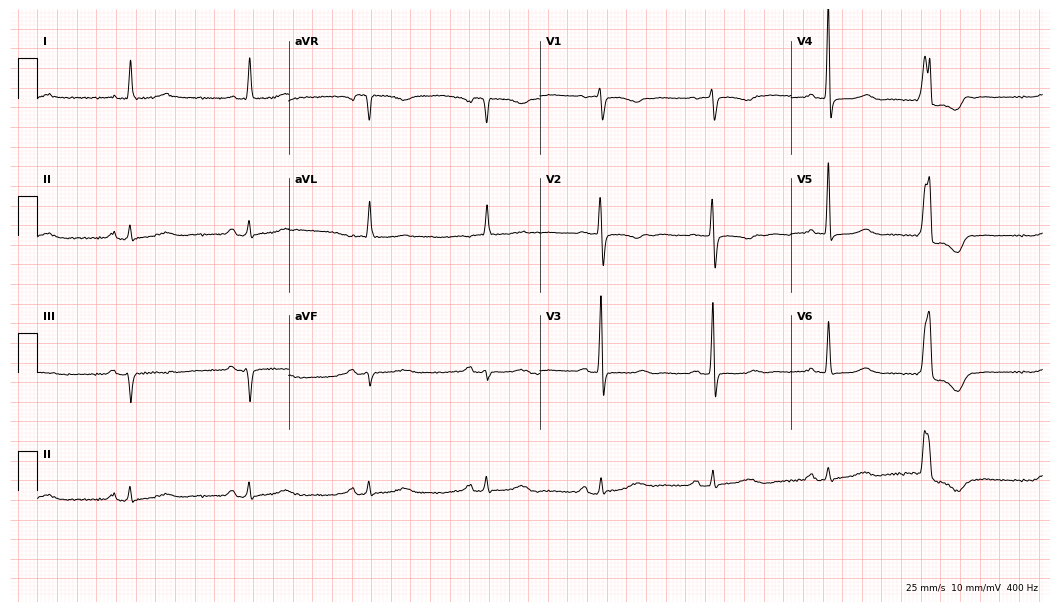
Electrocardiogram (10.2-second recording at 400 Hz), a 67-year-old woman. Of the six screened findings (first-degree AV block, right bundle branch block, left bundle branch block, sinus bradycardia, atrial fibrillation, sinus tachycardia), none is recorded. Only these six findings were labelled.